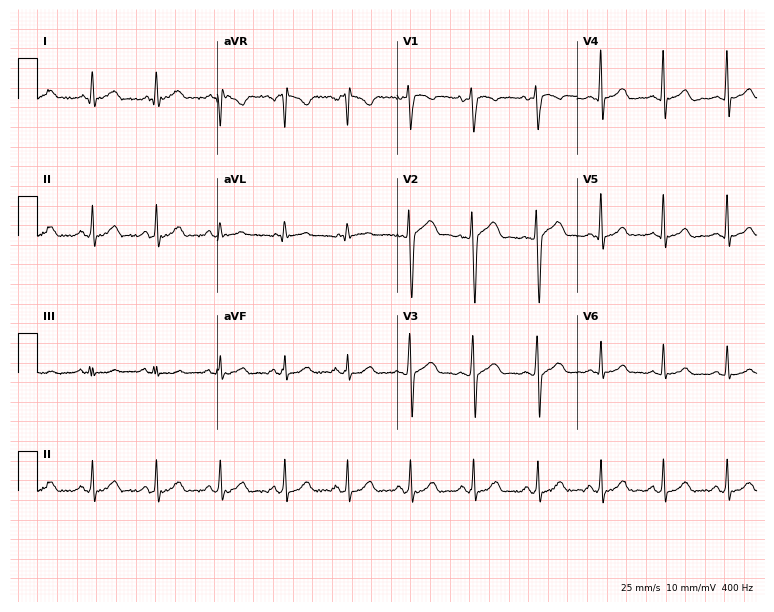
ECG — a male, 33 years old. Screened for six findings — first-degree AV block, right bundle branch block (RBBB), left bundle branch block (LBBB), sinus bradycardia, atrial fibrillation (AF), sinus tachycardia — none is recorded.